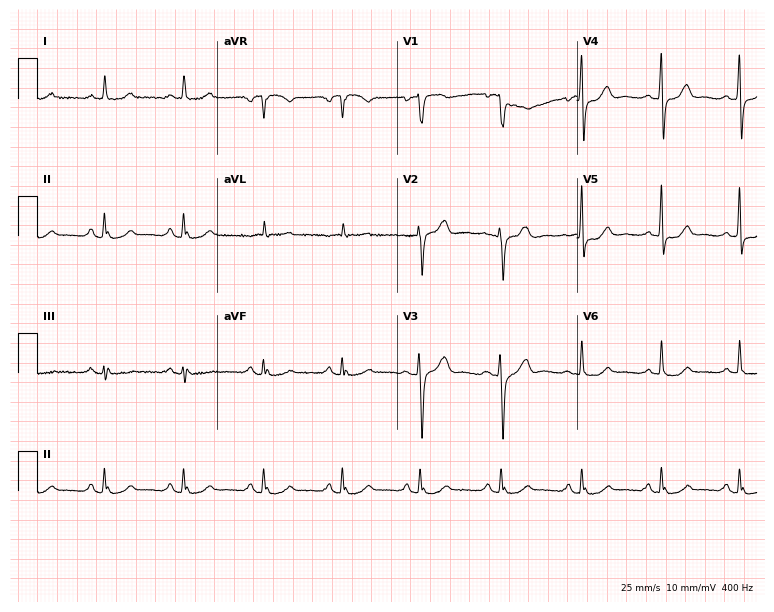
Resting 12-lead electrocardiogram. Patient: a woman, 55 years old. Read as a normal ECG.